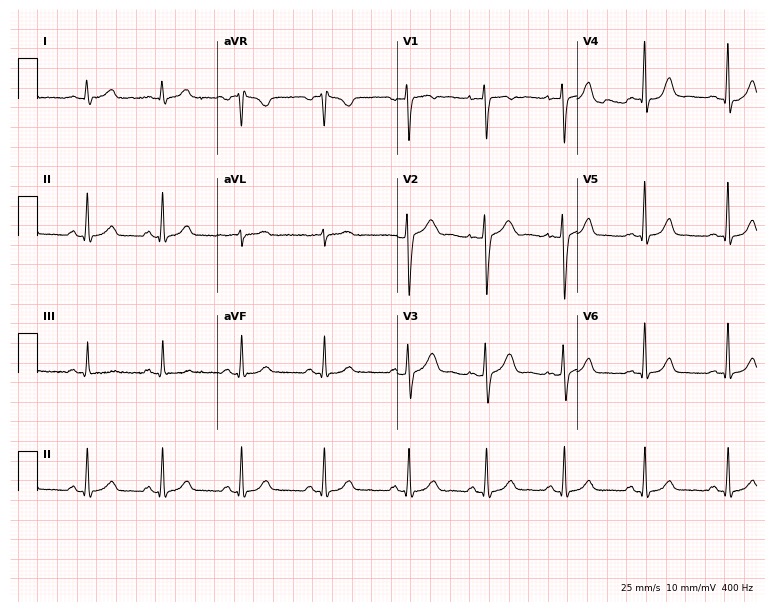
Standard 12-lead ECG recorded from a female, 36 years old (7.3-second recording at 400 Hz). None of these six findings is recorded: first-degree AV block, right bundle branch block, left bundle branch block, sinus bradycardia, atrial fibrillation, sinus tachycardia.